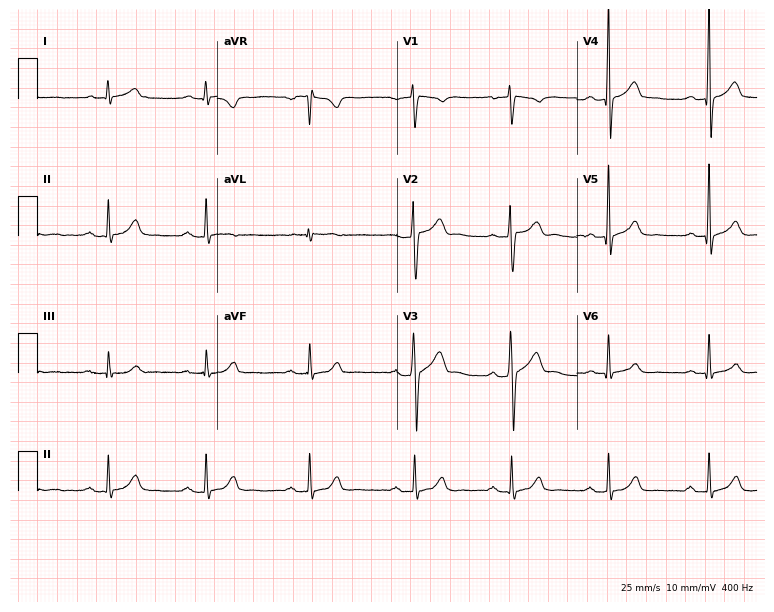
Resting 12-lead electrocardiogram. Patient: a man, 33 years old. Read as a normal ECG.